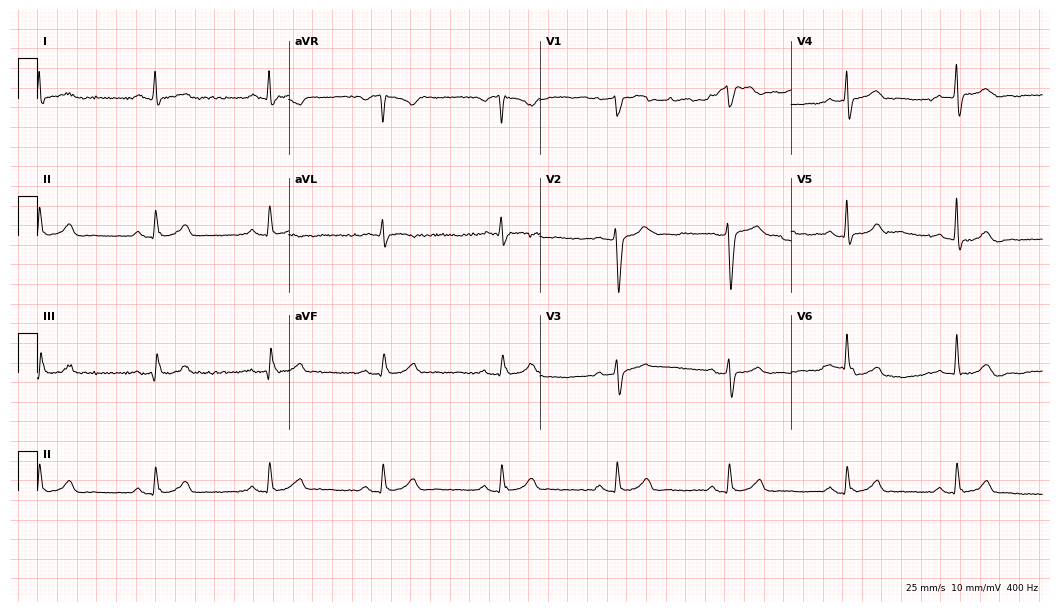
12-lead ECG from a male patient, 68 years old. Recorded interpretation: within normal limits.